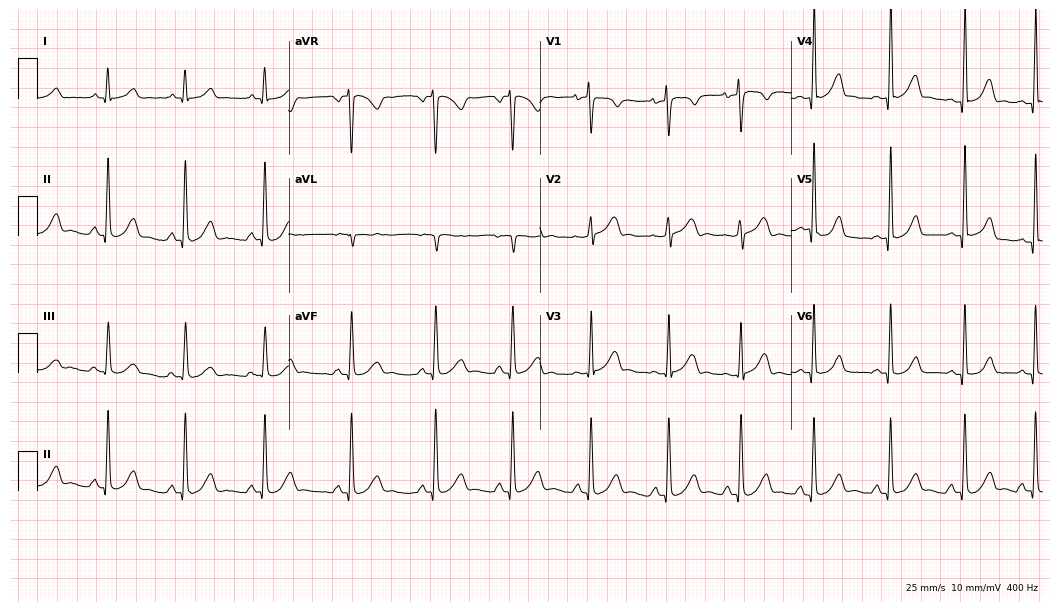
12-lead ECG (10.2-second recording at 400 Hz) from a 27-year-old female patient. Labelled as a normal ECG.